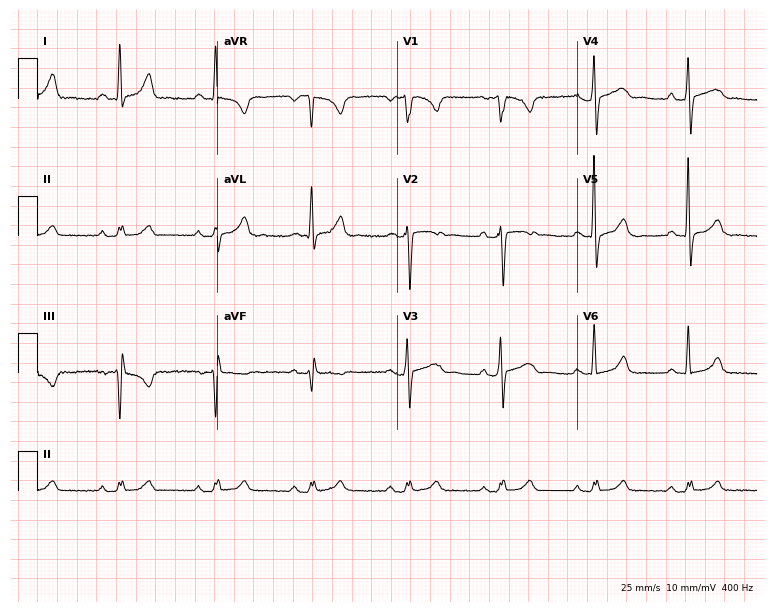
Resting 12-lead electrocardiogram (7.3-second recording at 400 Hz). Patient: a 62-year-old male. Read as a normal ECG.